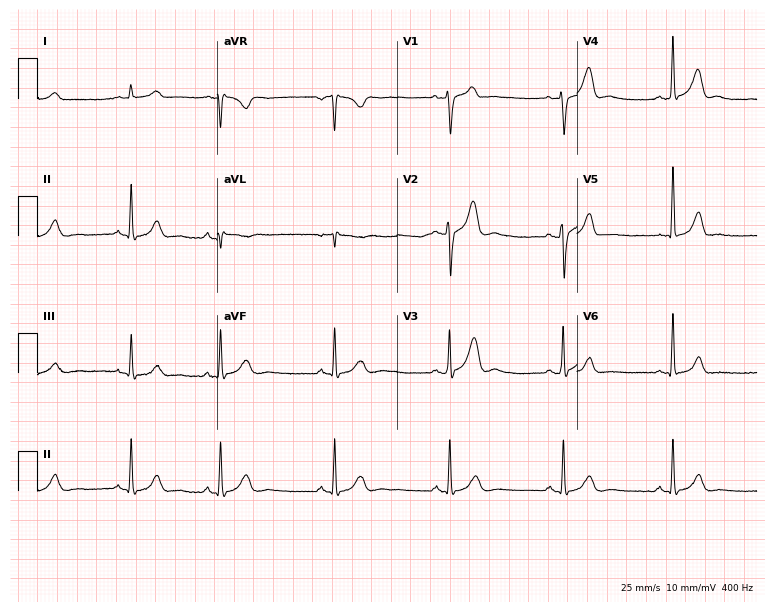
Standard 12-lead ECG recorded from a 38-year-old male. None of these six findings is recorded: first-degree AV block, right bundle branch block, left bundle branch block, sinus bradycardia, atrial fibrillation, sinus tachycardia.